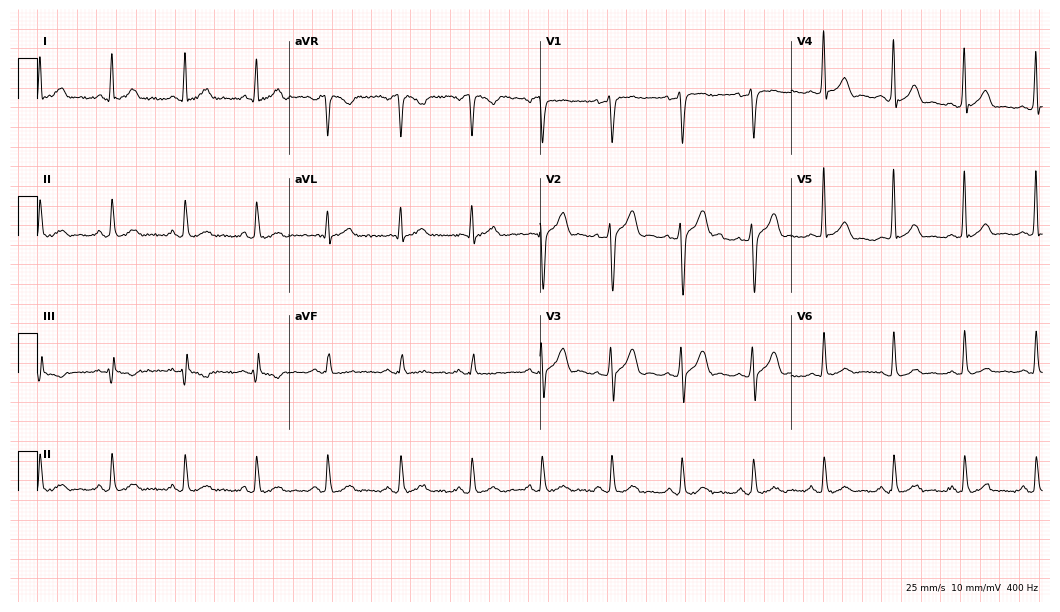
Resting 12-lead electrocardiogram. Patient: a male, 34 years old. None of these six findings is recorded: first-degree AV block, right bundle branch block, left bundle branch block, sinus bradycardia, atrial fibrillation, sinus tachycardia.